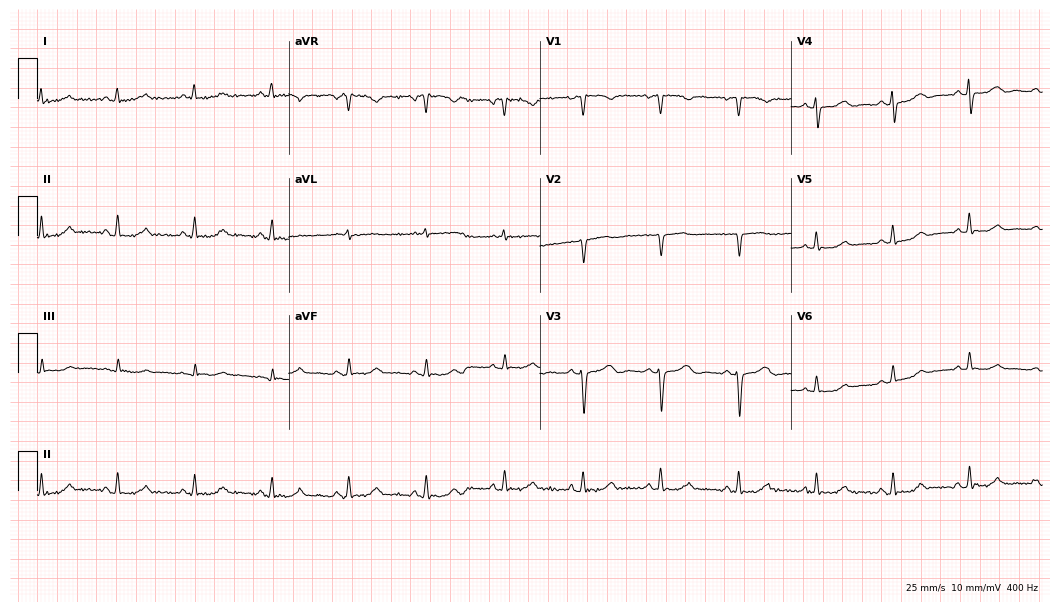
Electrocardiogram, a female, 71 years old. Overall reading on record: normal ECG.